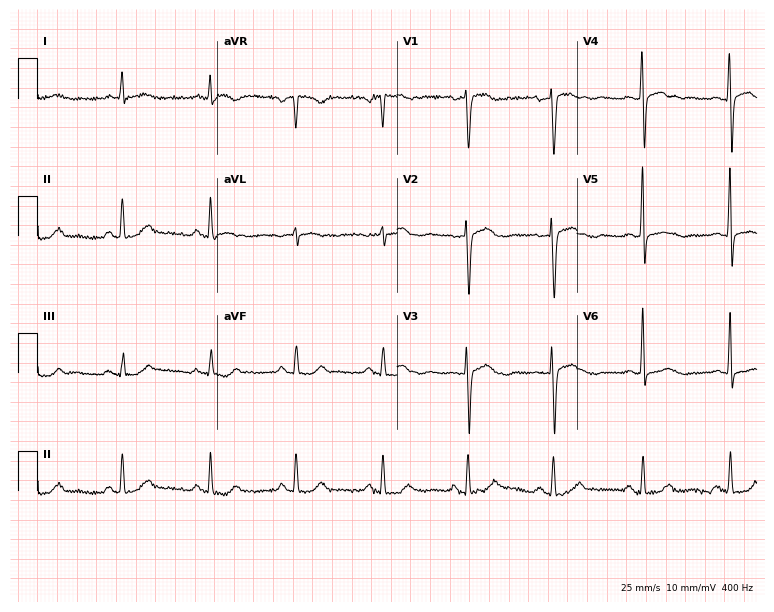
Electrocardiogram (7.3-second recording at 400 Hz), a 63-year-old woman. Of the six screened findings (first-degree AV block, right bundle branch block, left bundle branch block, sinus bradycardia, atrial fibrillation, sinus tachycardia), none is recorded. Other findings, if any, are not listed.